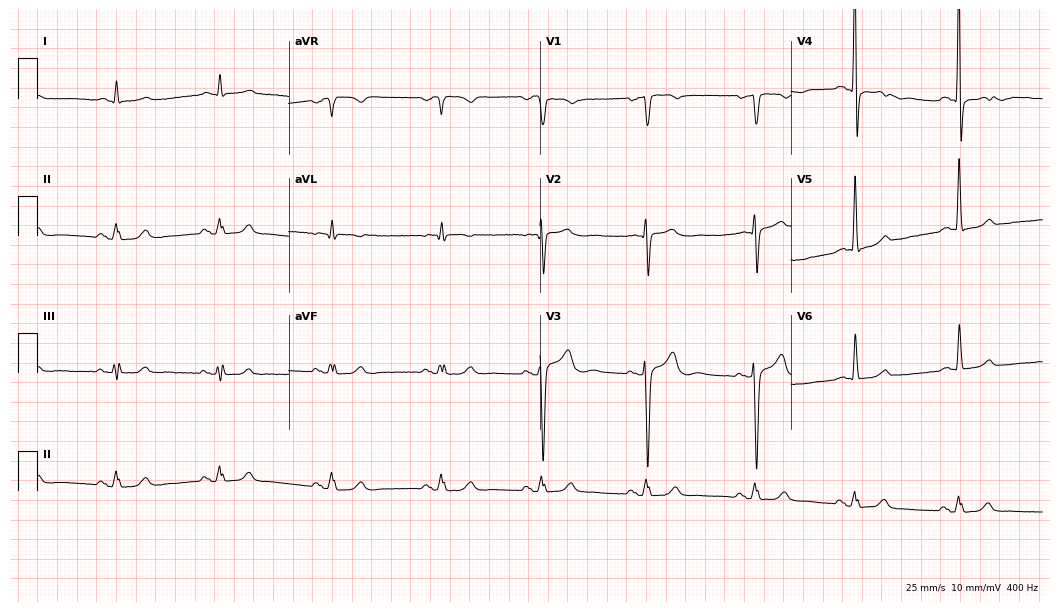
ECG — a 54-year-old man. Screened for six findings — first-degree AV block, right bundle branch block (RBBB), left bundle branch block (LBBB), sinus bradycardia, atrial fibrillation (AF), sinus tachycardia — none is recorded. Findings outside these six are not listed.